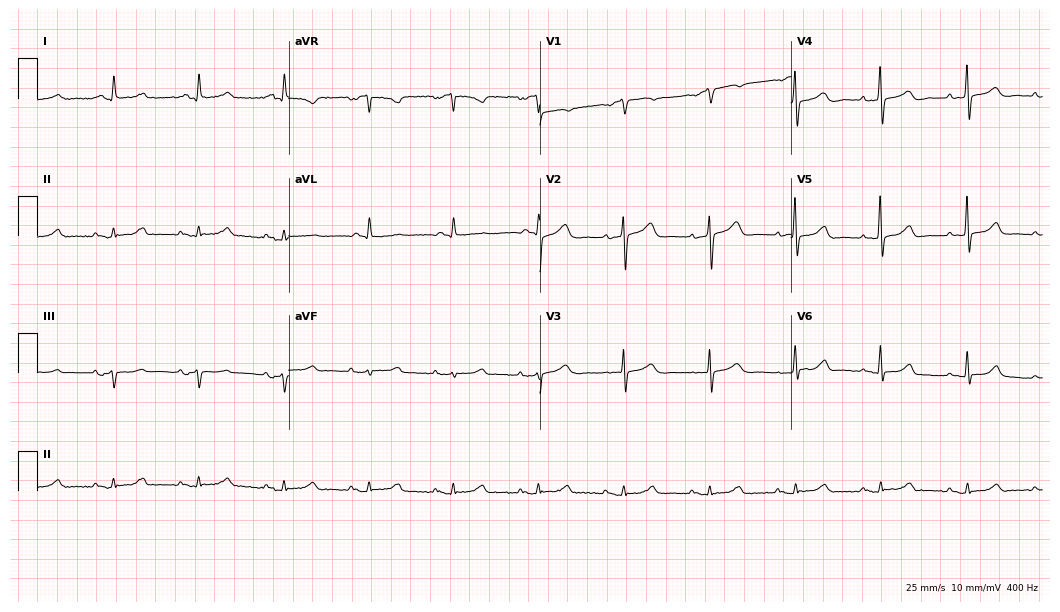
Electrocardiogram, an 80-year-old female. Overall reading on record: normal ECG.